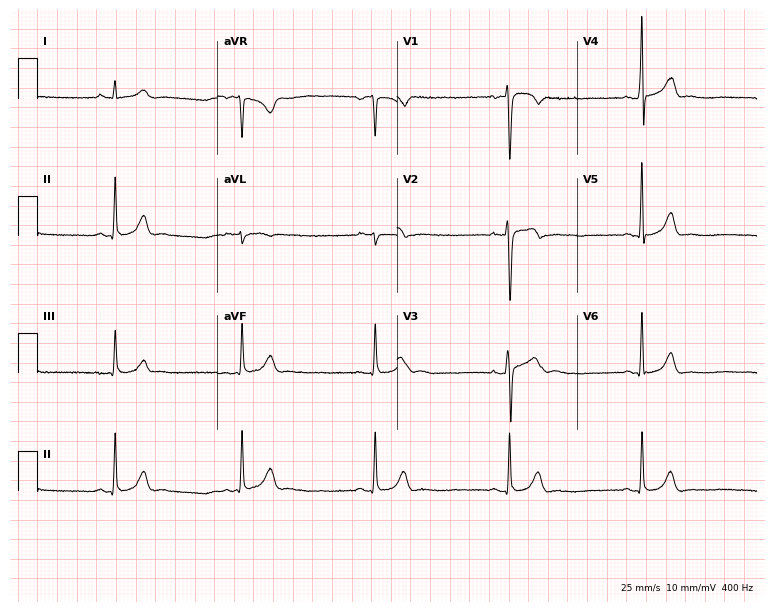
Resting 12-lead electrocardiogram. Patient: a 22-year-old male. The tracing shows sinus bradycardia (a sinus rate of 50 beats per minute or less).